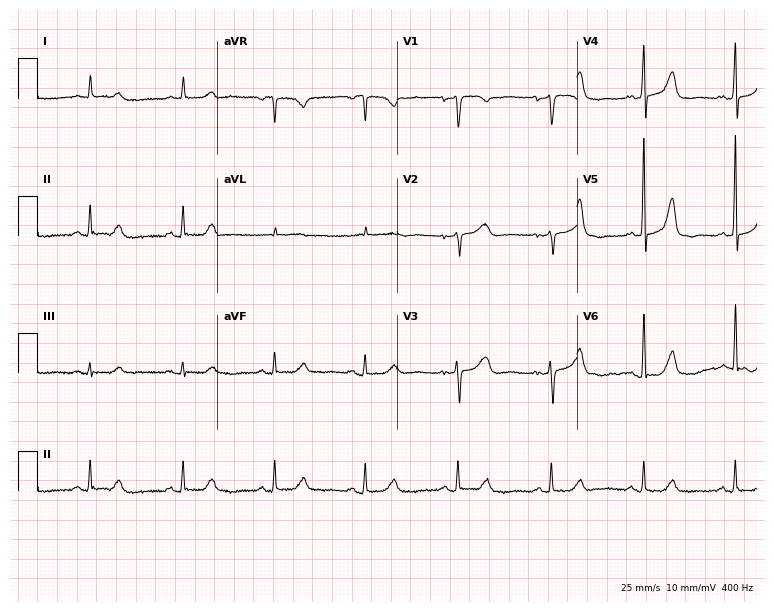
Resting 12-lead electrocardiogram (7.3-second recording at 400 Hz). Patient: an 80-year-old woman. Read as a normal ECG.